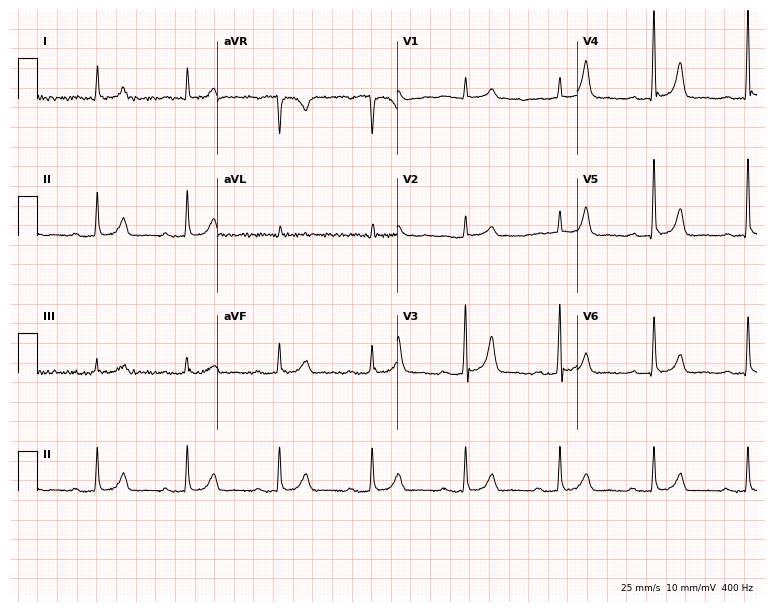
Standard 12-lead ECG recorded from a man, 84 years old (7.3-second recording at 400 Hz). None of these six findings is recorded: first-degree AV block, right bundle branch block, left bundle branch block, sinus bradycardia, atrial fibrillation, sinus tachycardia. Only these six findings were labelled.